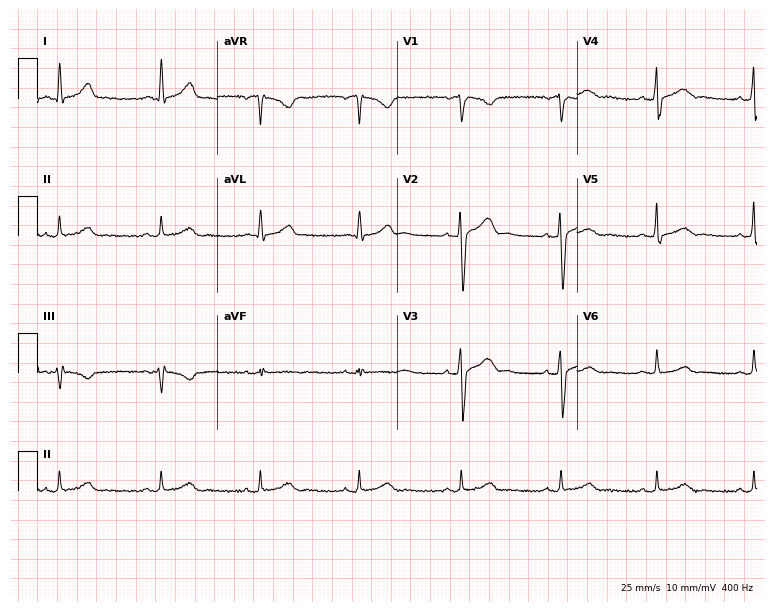
Resting 12-lead electrocardiogram. Patient: a male, 36 years old. Read as a normal ECG.